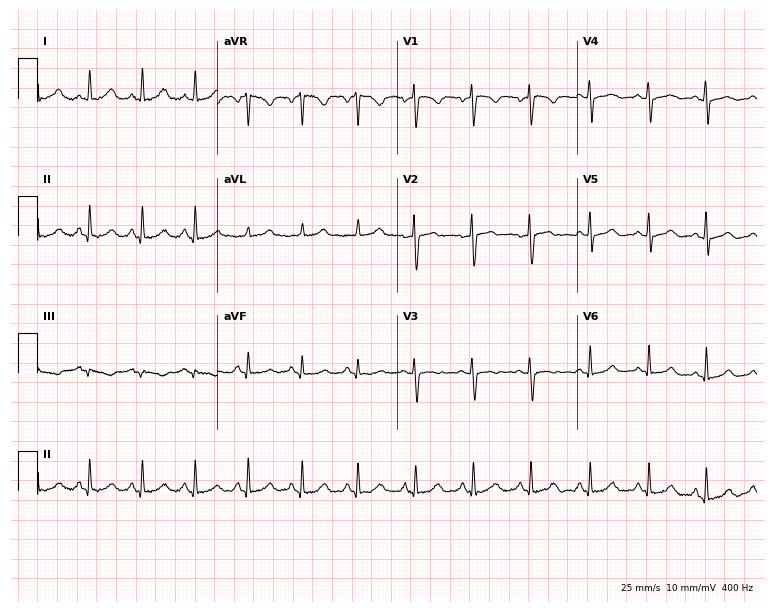
Standard 12-lead ECG recorded from a woman, 39 years old. The tracing shows sinus tachycardia (a sinus rate of 100 beats per minute or more).